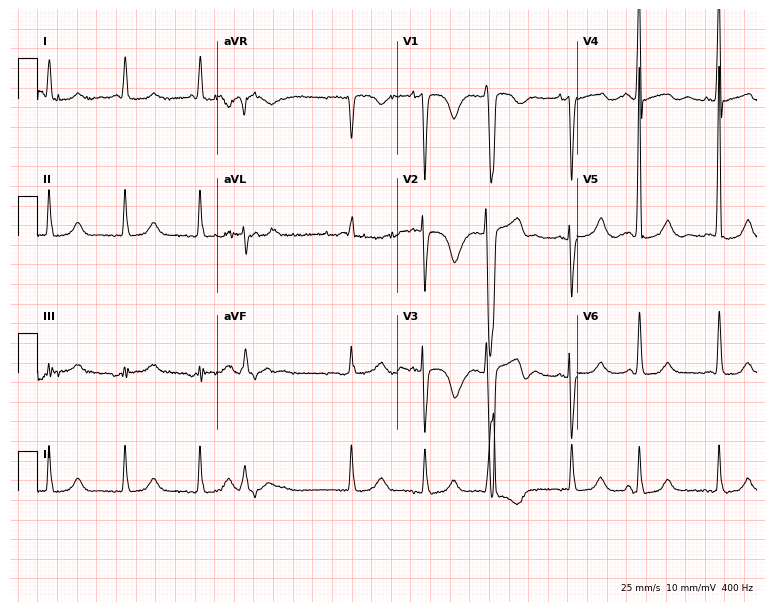
Resting 12-lead electrocardiogram. Patient: a 77-year-old female. None of these six findings is recorded: first-degree AV block, right bundle branch block, left bundle branch block, sinus bradycardia, atrial fibrillation, sinus tachycardia.